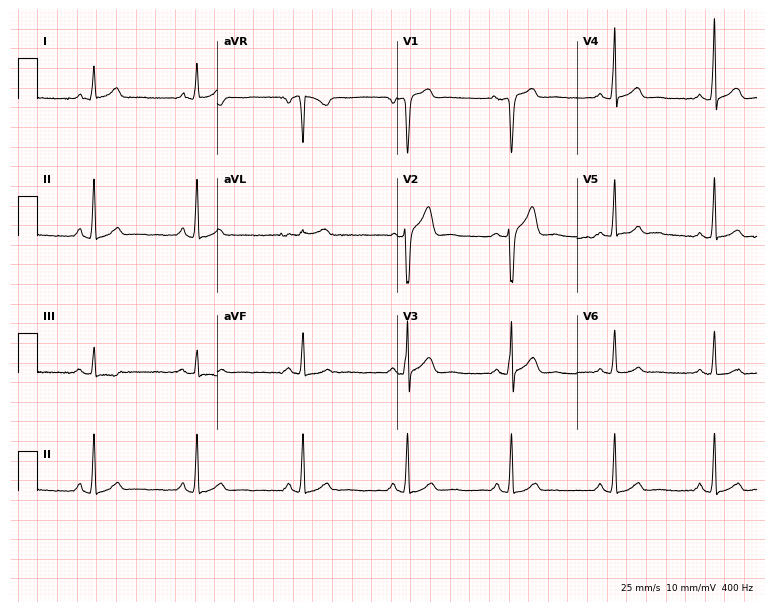
12-lead ECG from a 33-year-old male (7.3-second recording at 400 Hz). Recorded interpretation: within normal limits.